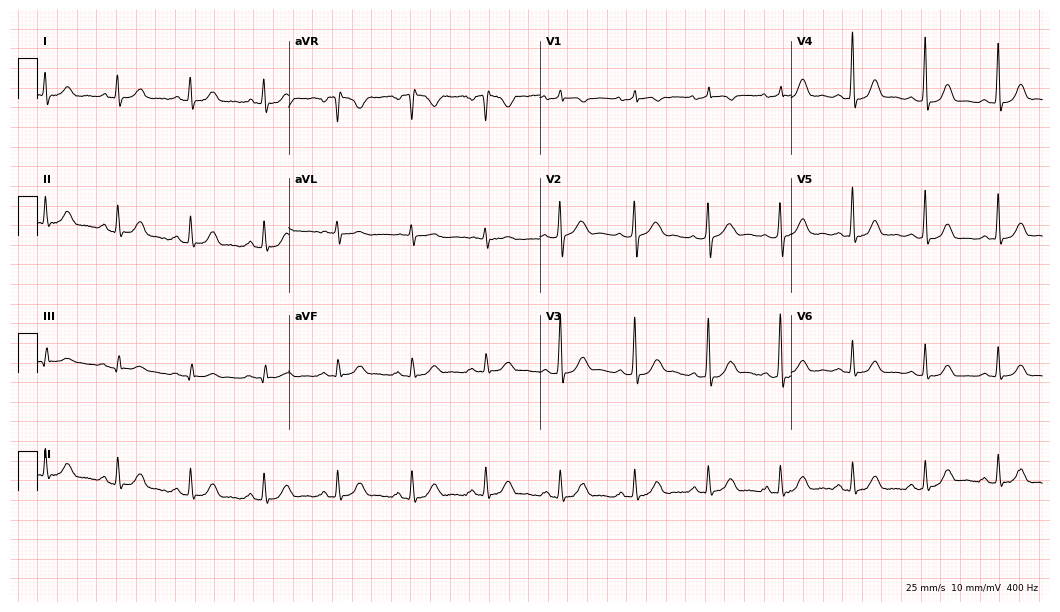
12-lead ECG from a 59-year-old woman. Recorded interpretation: within normal limits.